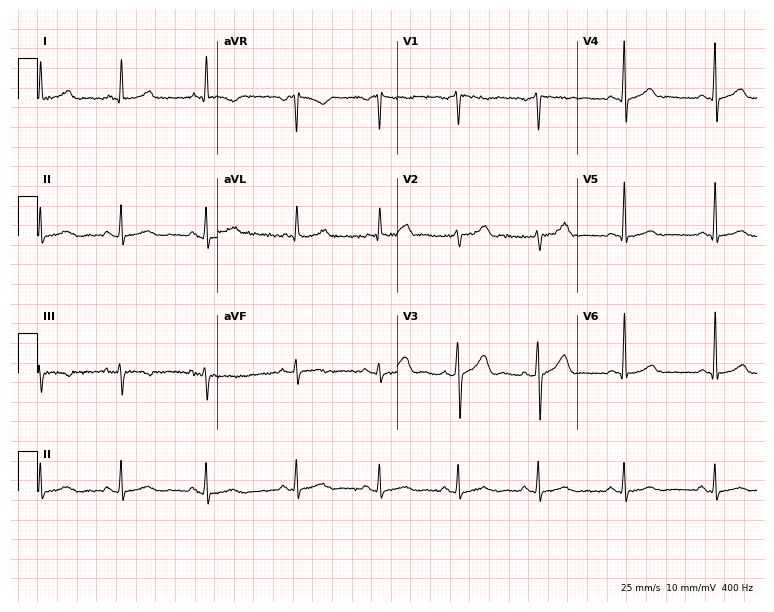
Resting 12-lead electrocardiogram. Patient: a man, 32 years old. None of these six findings is recorded: first-degree AV block, right bundle branch block (RBBB), left bundle branch block (LBBB), sinus bradycardia, atrial fibrillation (AF), sinus tachycardia.